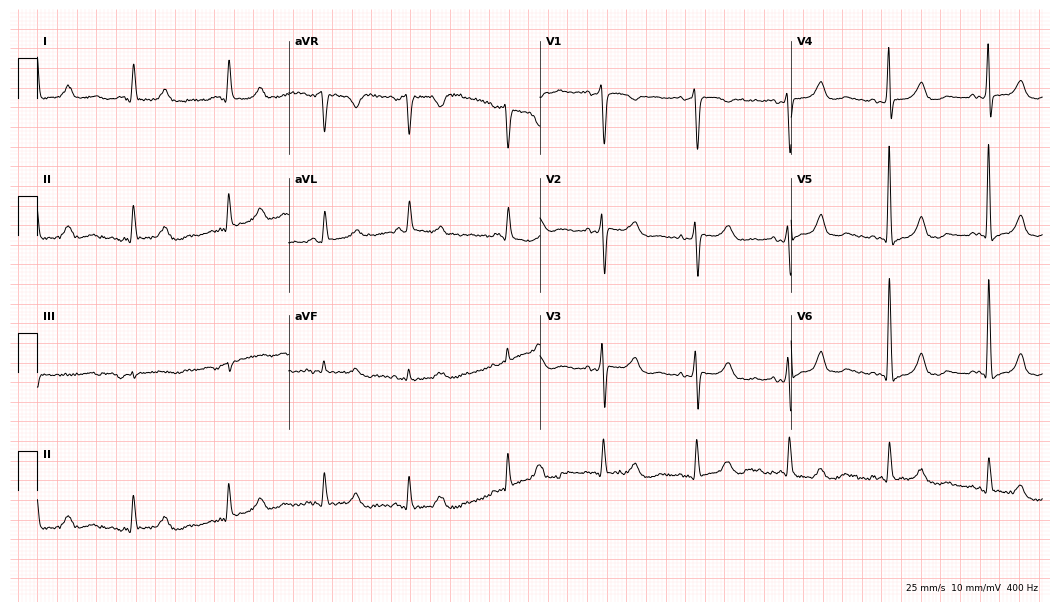
ECG — a 73-year-old female patient. Screened for six findings — first-degree AV block, right bundle branch block (RBBB), left bundle branch block (LBBB), sinus bradycardia, atrial fibrillation (AF), sinus tachycardia — none is recorded. Only these six findings were labelled.